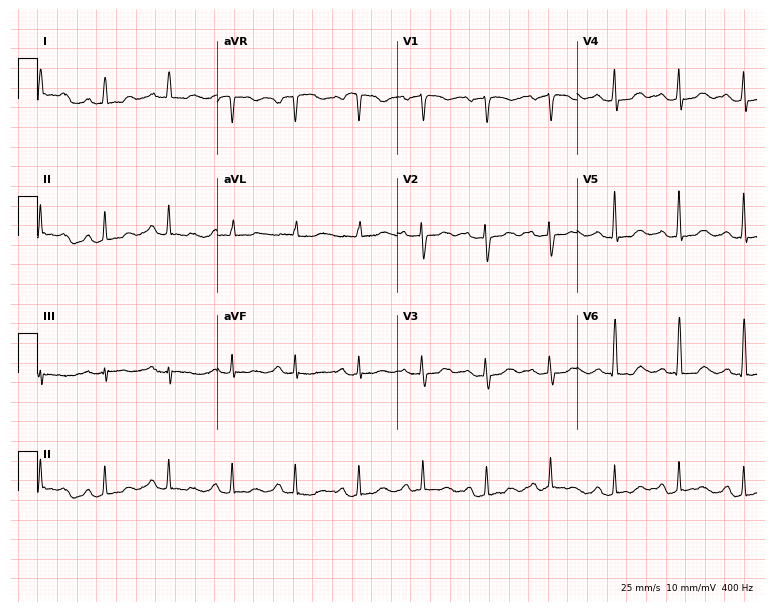
12-lead ECG (7.3-second recording at 400 Hz) from a woman, 51 years old. Labelled as a normal ECG.